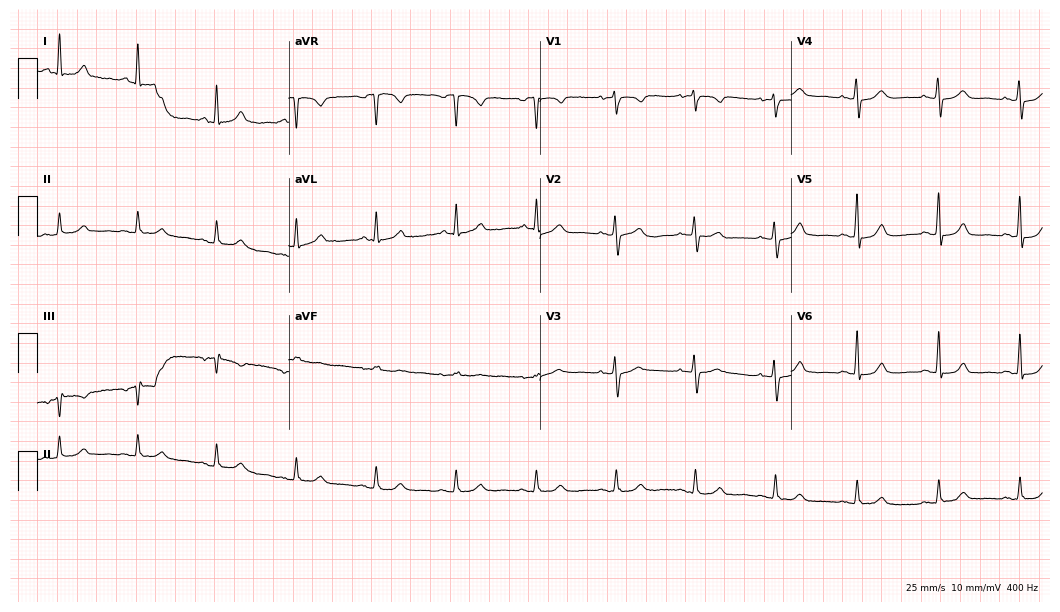
Electrocardiogram, a woman, 65 years old. Overall reading on record: normal ECG.